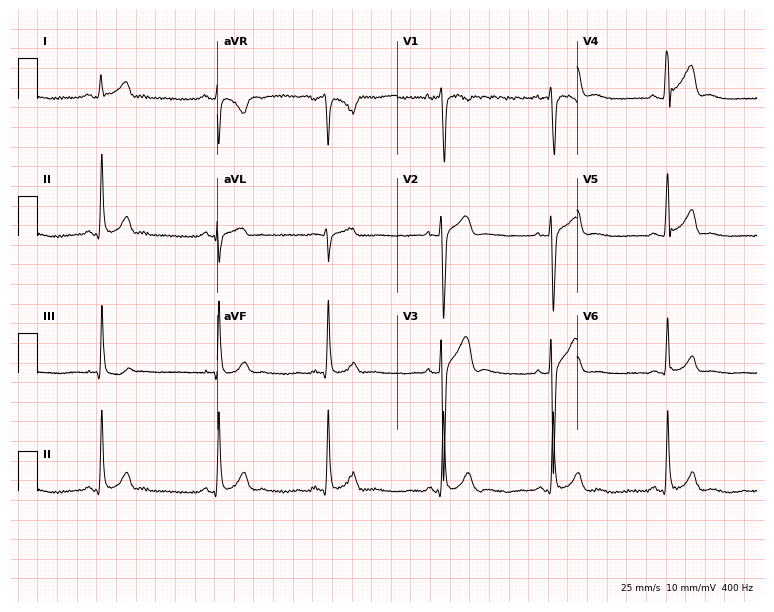
Resting 12-lead electrocardiogram (7.3-second recording at 400 Hz). Patient: a 21-year-old male. Read as a normal ECG.